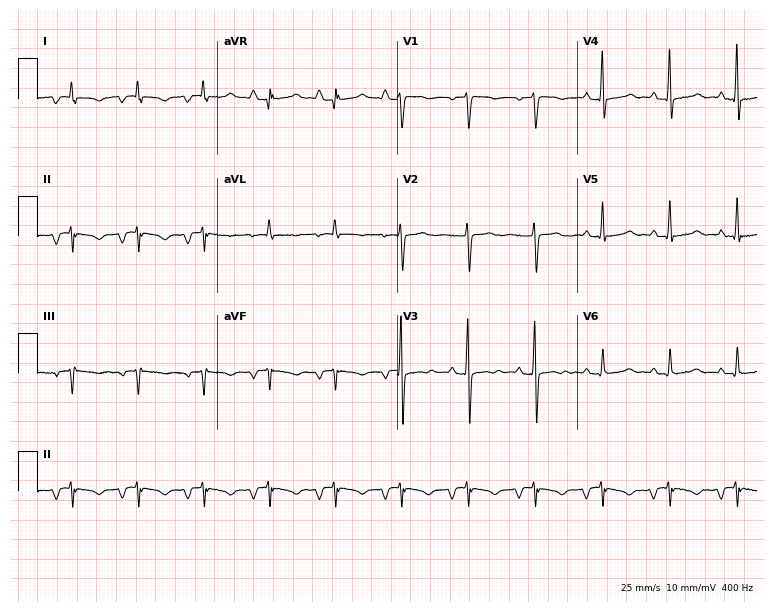
12-lead ECG (7.3-second recording at 400 Hz) from a female, 58 years old. Screened for six findings — first-degree AV block, right bundle branch block, left bundle branch block, sinus bradycardia, atrial fibrillation, sinus tachycardia — none is recorded.